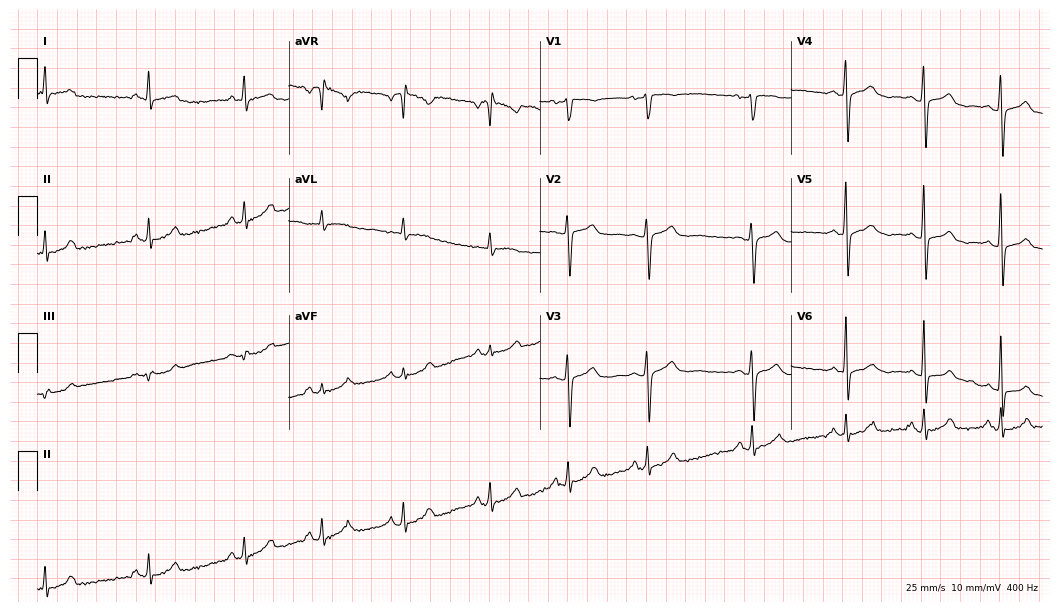
ECG (10.2-second recording at 400 Hz) — a female, 59 years old. Labelled as a normal ECG.